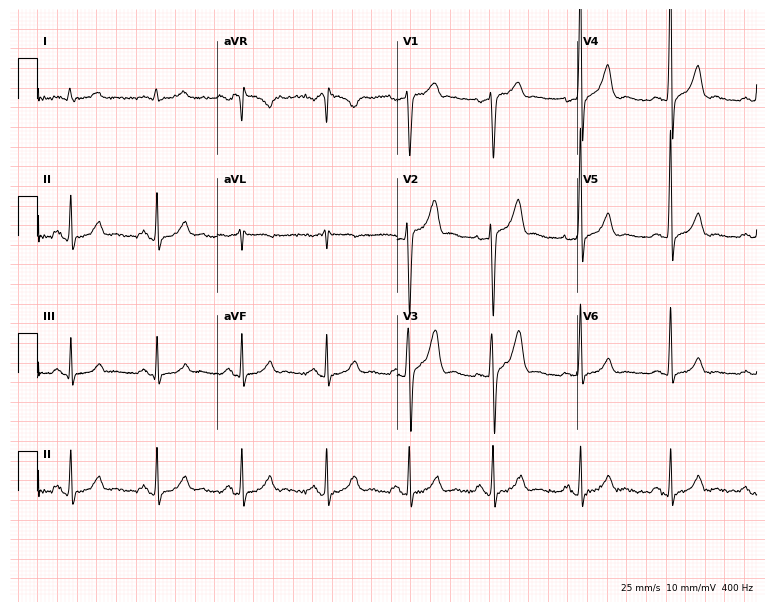
12-lead ECG from a 49-year-old male patient. No first-degree AV block, right bundle branch block (RBBB), left bundle branch block (LBBB), sinus bradycardia, atrial fibrillation (AF) or sinus tachycardia recorded for this tracing.